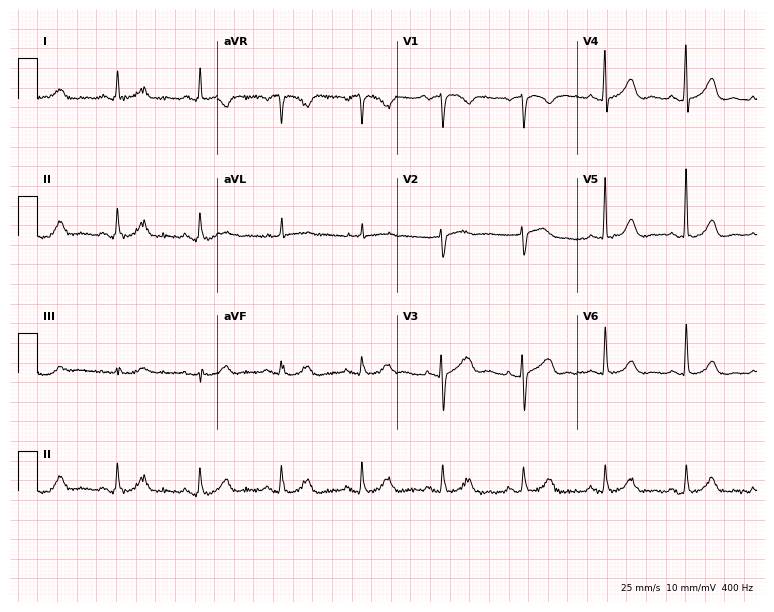
Resting 12-lead electrocardiogram. Patient: a female, 85 years old. Read as a normal ECG.